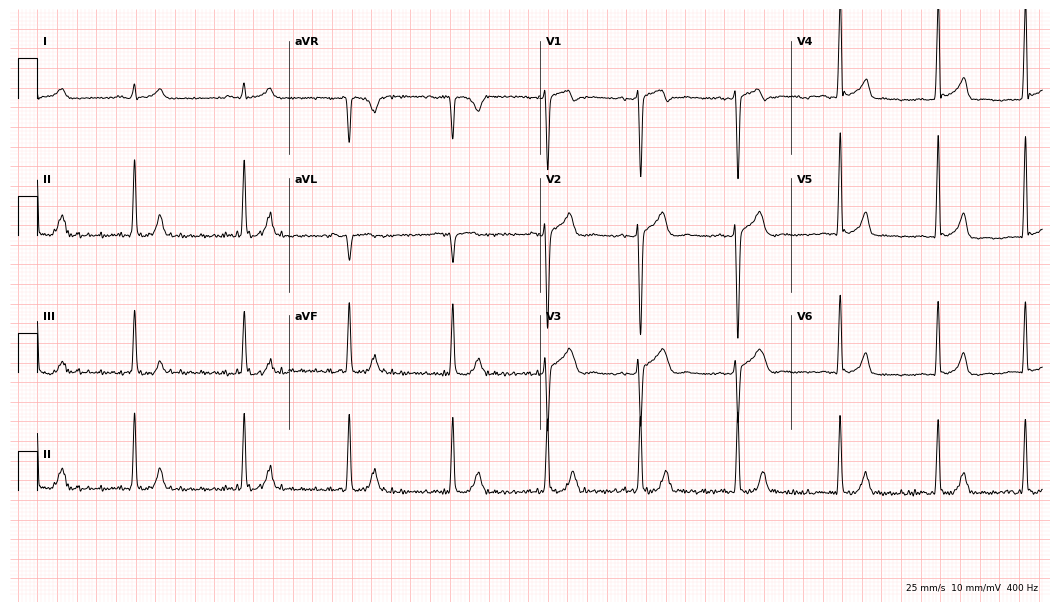
12-lead ECG from a man, 22 years old (10.2-second recording at 400 Hz). No first-degree AV block, right bundle branch block, left bundle branch block, sinus bradycardia, atrial fibrillation or sinus tachycardia recorded for this tracing.